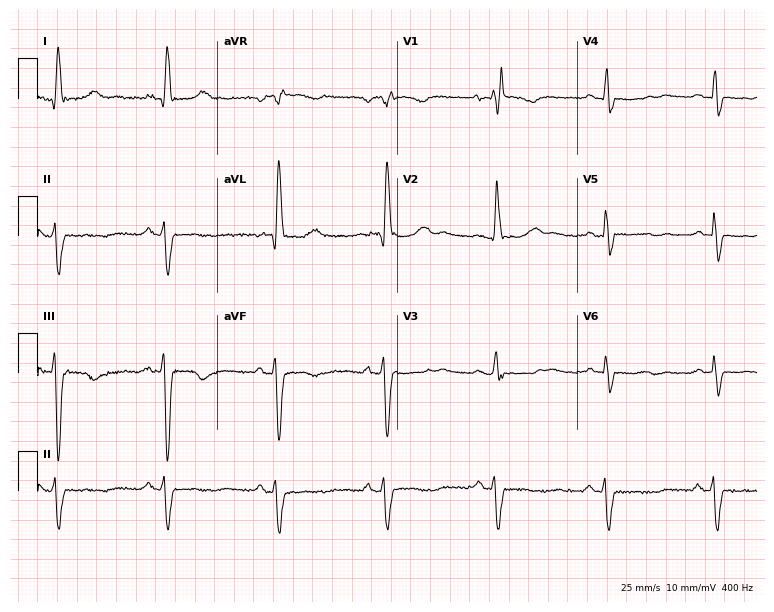
12-lead ECG from an 83-year-old woman. Findings include right bundle branch block.